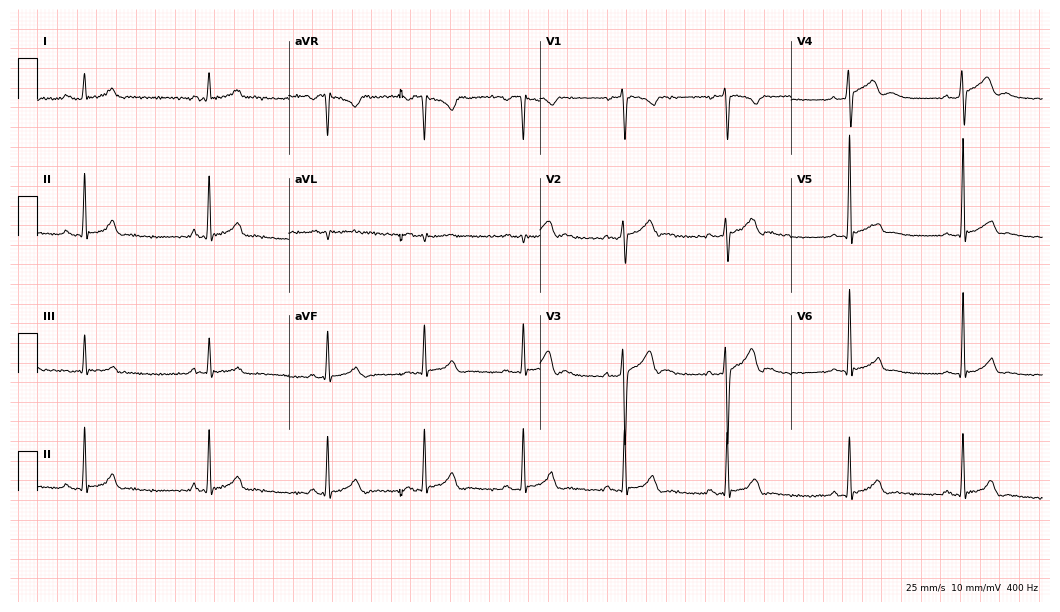
Resting 12-lead electrocardiogram (10.2-second recording at 400 Hz). Patient: a 30-year-old man. Read as a normal ECG.